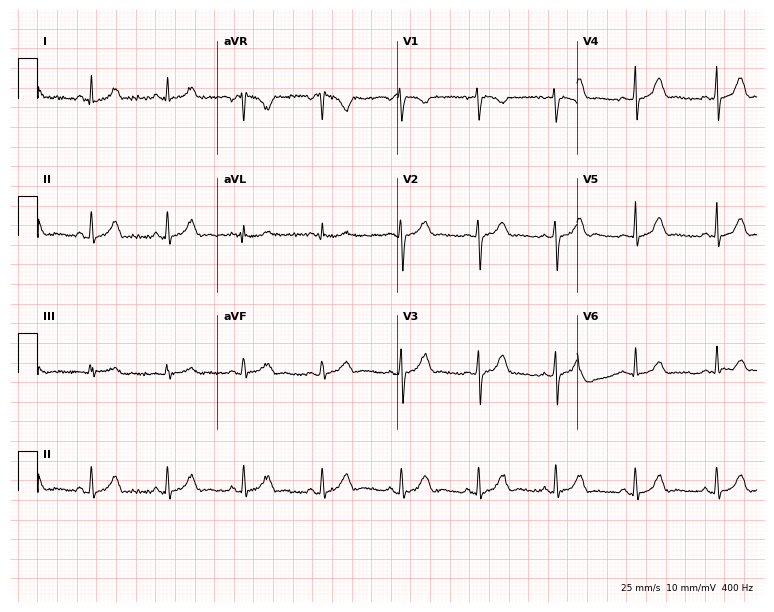
Electrocardiogram, a 20-year-old female patient. Overall reading on record: normal ECG.